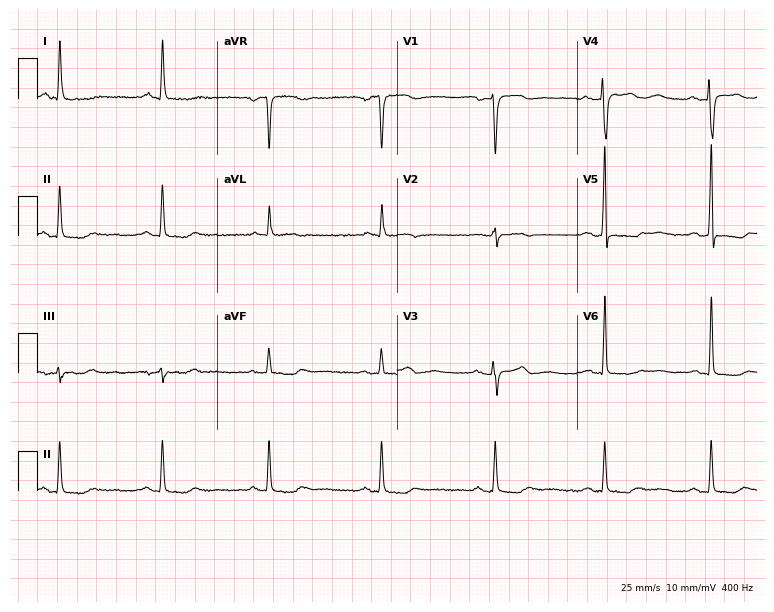
ECG (7.3-second recording at 400 Hz) — a 46-year-old woman. Screened for six findings — first-degree AV block, right bundle branch block (RBBB), left bundle branch block (LBBB), sinus bradycardia, atrial fibrillation (AF), sinus tachycardia — none is recorded.